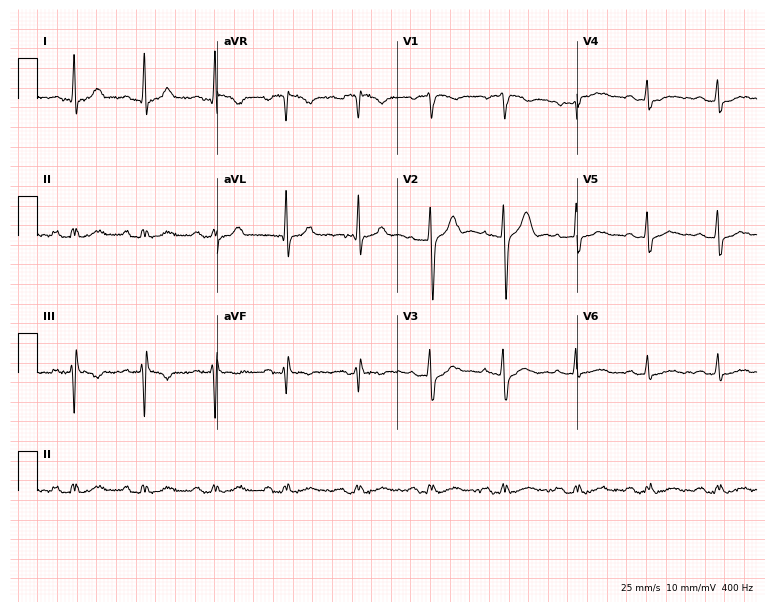
12-lead ECG from a 30-year-old male patient (7.3-second recording at 400 Hz). No first-degree AV block, right bundle branch block (RBBB), left bundle branch block (LBBB), sinus bradycardia, atrial fibrillation (AF) or sinus tachycardia recorded for this tracing. Only these six findings were labelled.